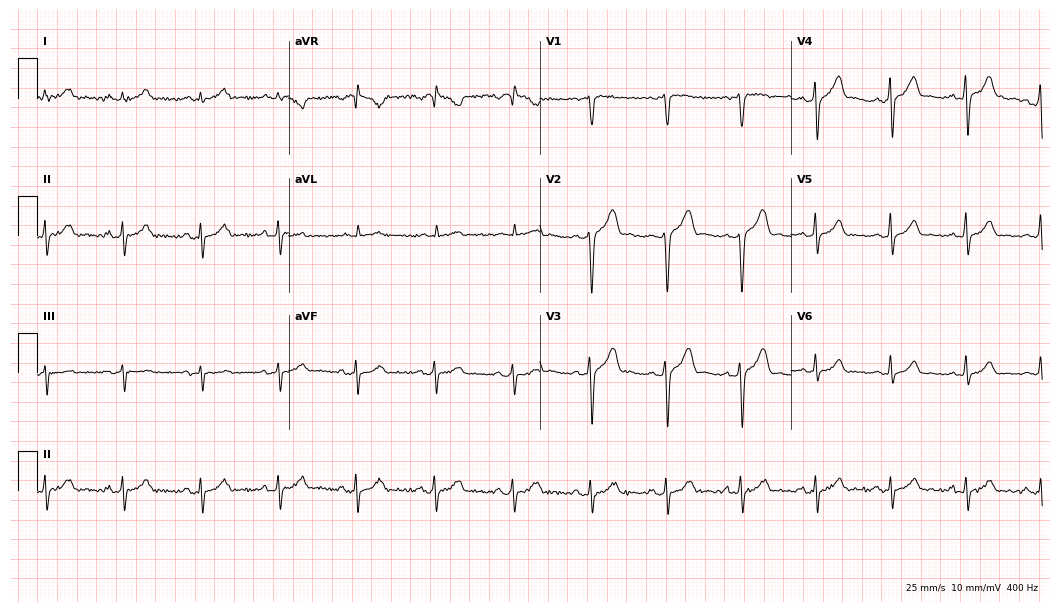
ECG (10.2-second recording at 400 Hz) — a male patient, 76 years old. Screened for six findings — first-degree AV block, right bundle branch block (RBBB), left bundle branch block (LBBB), sinus bradycardia, atrial fibrillation (AF), sinus tachycardia — none is recorded.